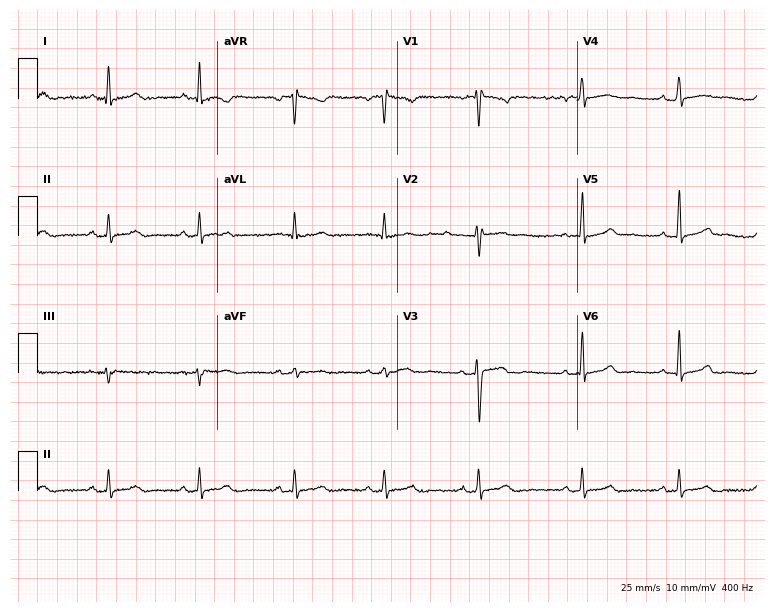
Standard 12-lead ECG recorded from a 31-year-old woman (7.3-second recording at 400 Hz). None of these six findings is recorded: first-degree AV block, right bundle branch block, left bundle branch block, sinus bradycardia, atrial fibrillation, sinus tachycardia.